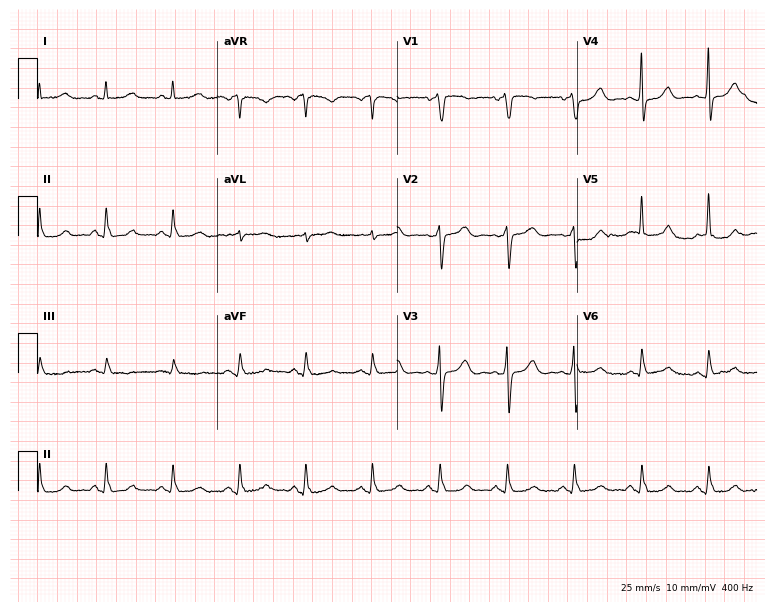
ECG (7.3-second recording at 400 Hz) — a male, 75 years old. Labelled as a normal ECG.